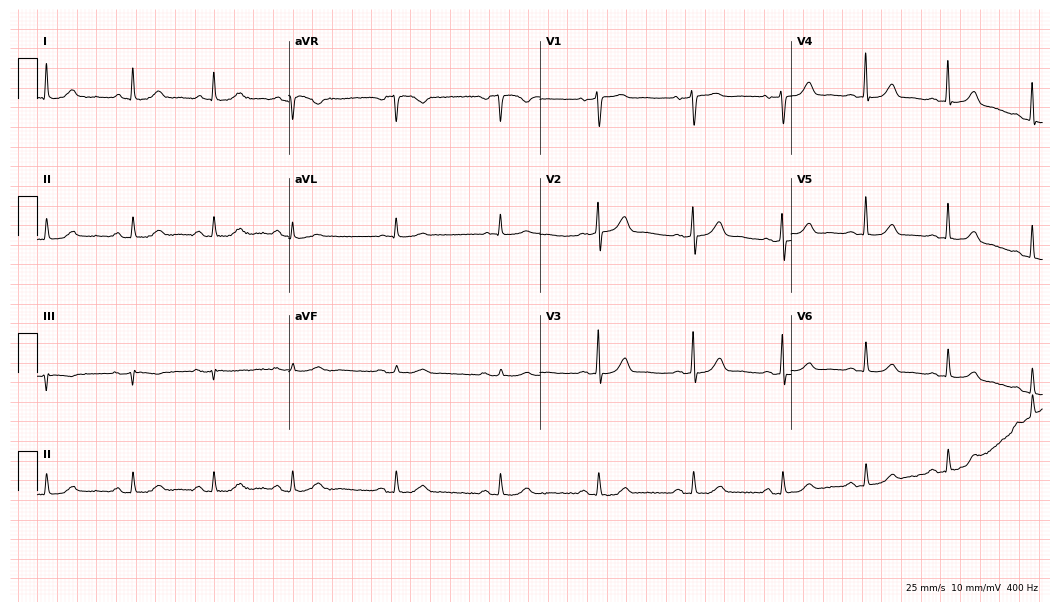
Resting 12-lead electrocardiogram. Patient: a 59-year-old female. Read as a normal ECG.